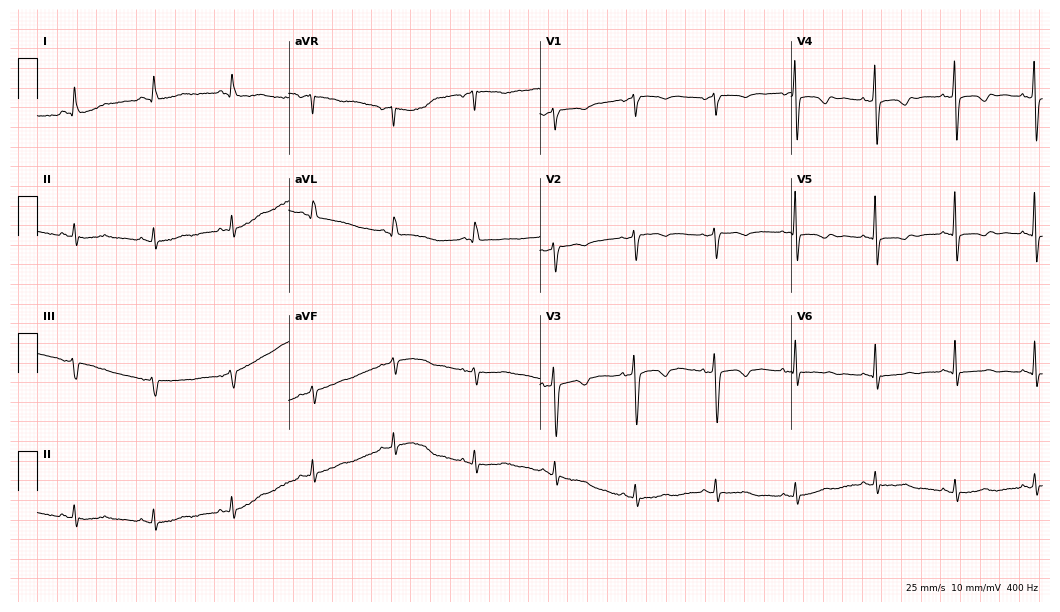
12-lead ECG from a 66-year-old woman. No first-degree AV block, right bundle branch block, left bundle branch block, sinus bradycardia, atrial fibrillation or sinus tachycardia recorded for this tracing.